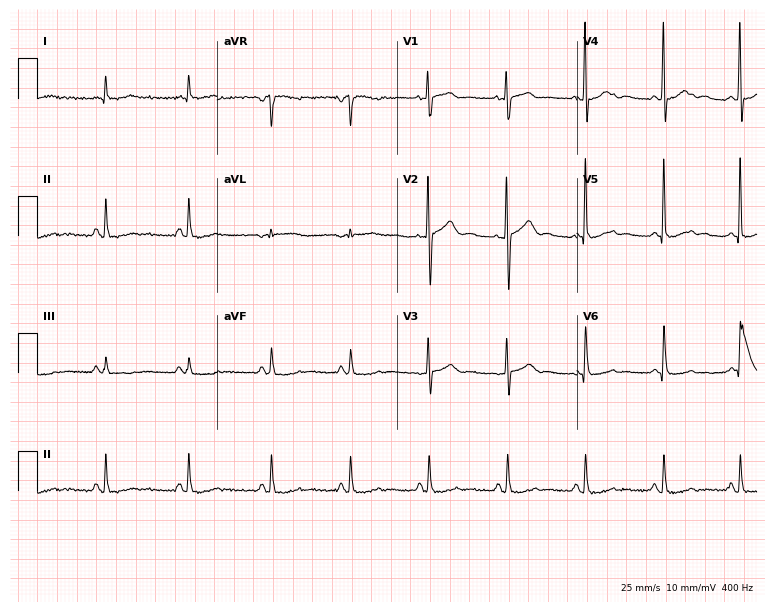
Resting 12-lead electrocardiogram. Patient: a 69-year-old female. Read as a normal ECG.